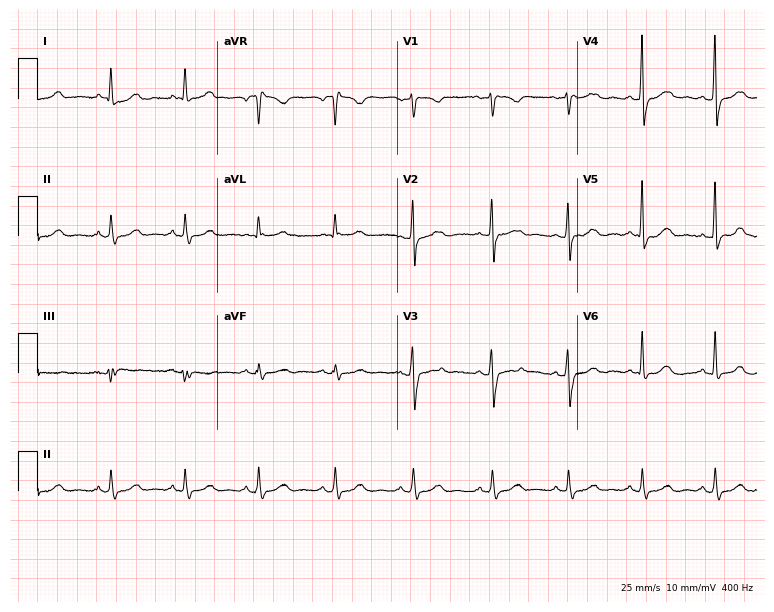
Electrocardiogram (7.3-second recording at 400 Hz), a female, 46 years old. Overall reading on record: normal ECG.